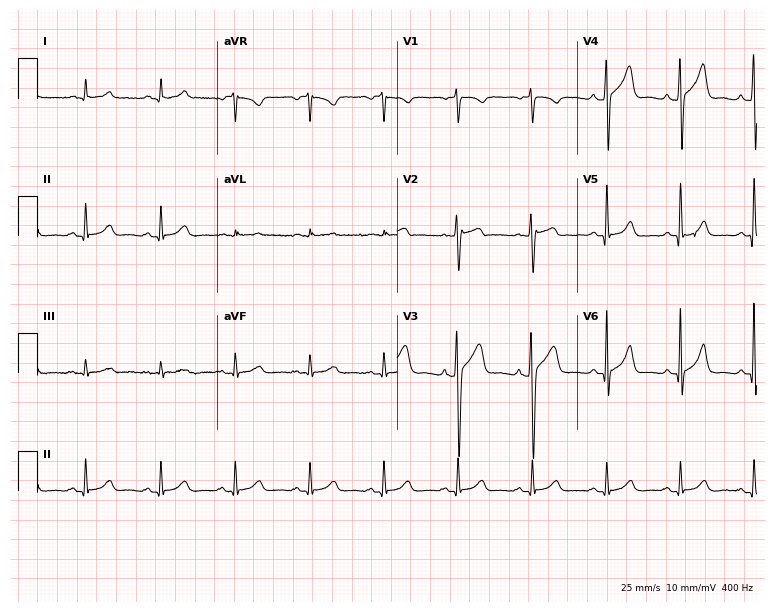
12-lead ECG from a 57-year-old male patient (7.3-second recording at 400 Hz). No first-degree AV block, right bundle branch block (RBBB), left bundle branch block (LBBB), sinus bradycardia, atrial fibrillation (AF) or sinus tachycardia recorded for this tracing. Findings outside these six are not listed.